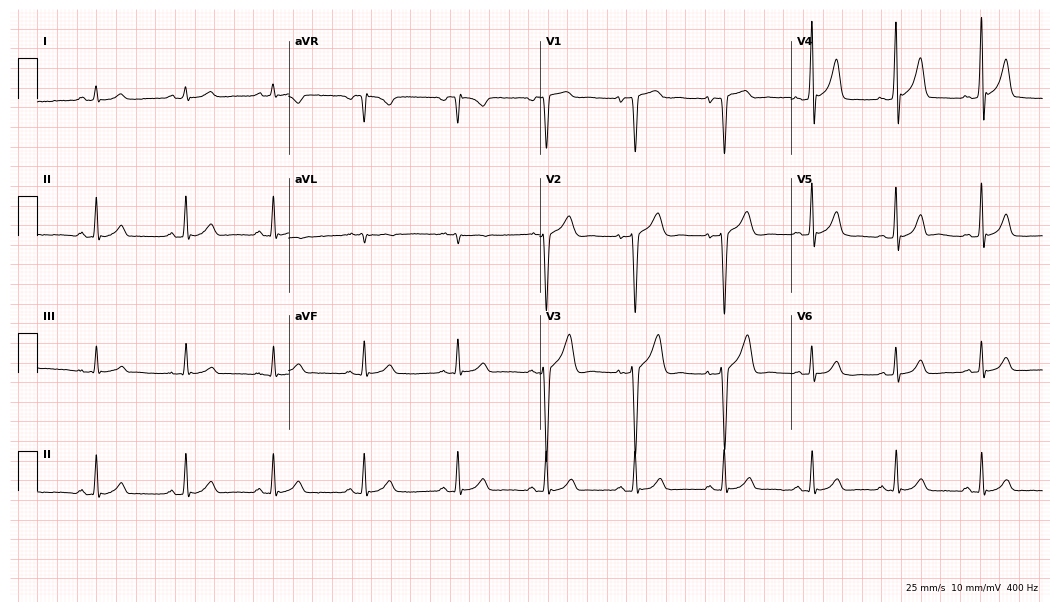
Electrocardiogram (10.2-second recording at 400 Hz), a male, 36 years old. Of the six screened findings (first-degree AV block, right bundle branch block, left bundle branch block, sinus bradycardia, atrial fibrillation, sinus tachycardia), none is recorded. Only these six findings were labelled.